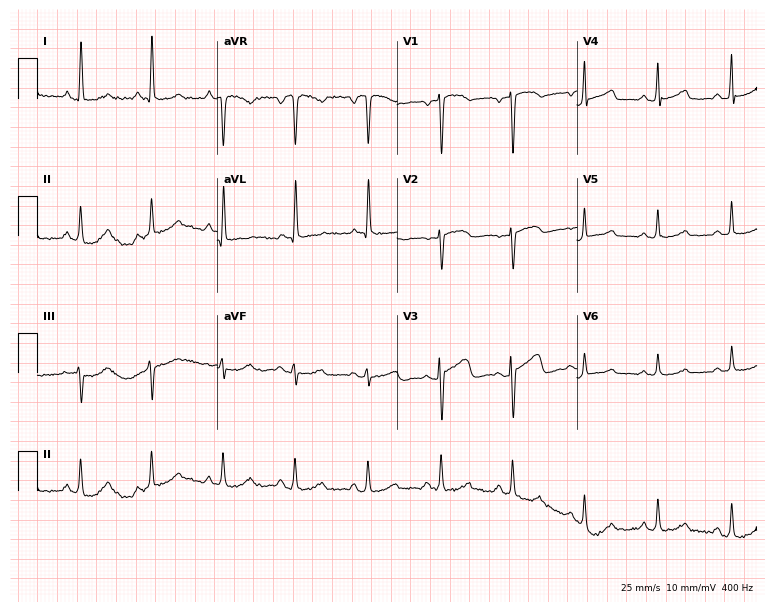
12-lead ECG from a 55-year-old woman. Screened for six findings — first-degree AV block, right bundle branch block (RBBB), left bundle branch block (LBBB), sinus bradycardia, atrial fibrillation (AF), sinus tachycardia — none is recorded.